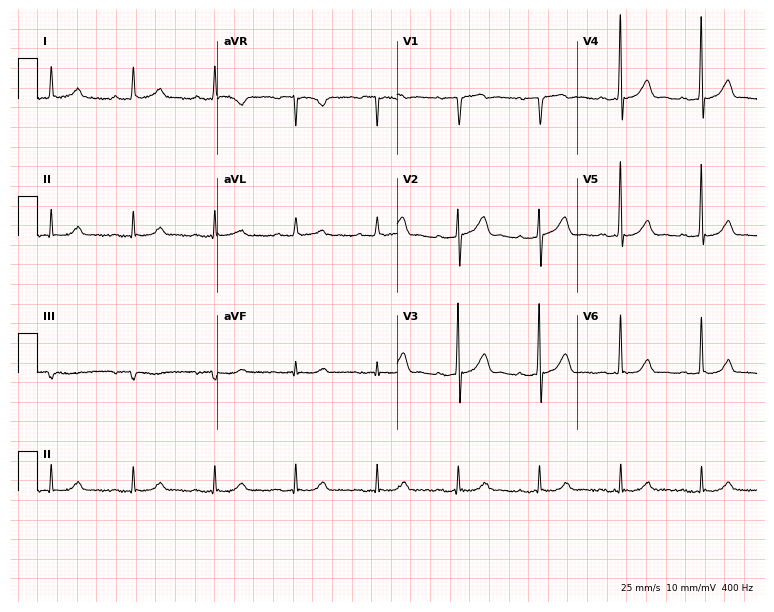
Resting 12-lead electrocardiogram (7.3-second recording at 400 Hz). Patient: a 63-year-old male. None of these six findings is recorded: first-degree AV block, right bundle branch block, left bundle branch block, sinus bradycardia, atrial fibrillation, sinus tachycardia. Findings outside these six are not listed.